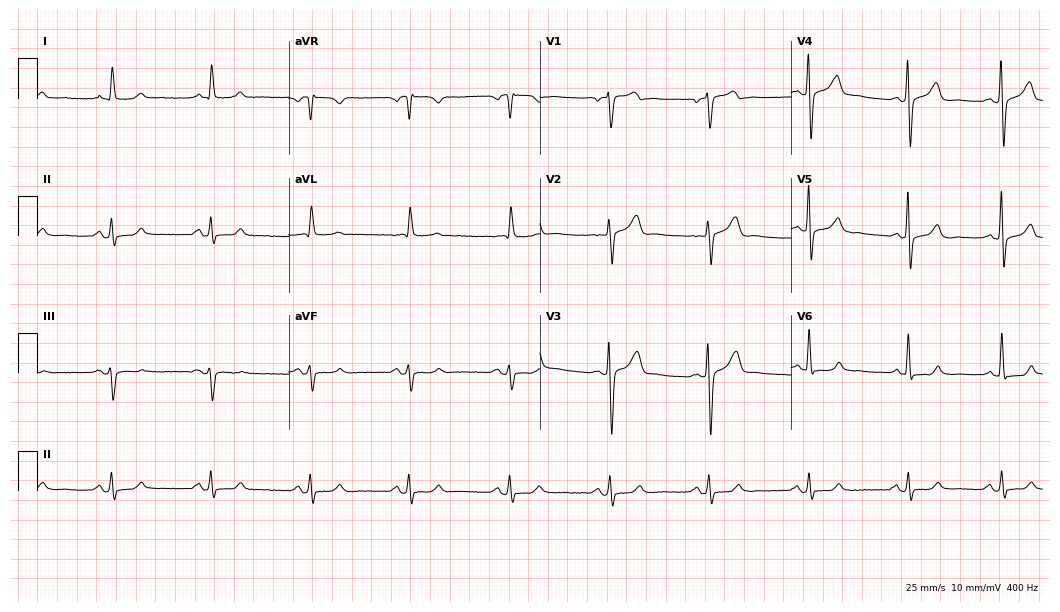
ECG (10.2-second recording at 400 Hz) — a 52-year-old male. Screened for six findings — first-degree AV block, right bundle branch block, left bundle branch block, sinus bradycardia, atrial fibrillation, sinus tachycardia — none is recorded. Only these six findings were labelled.